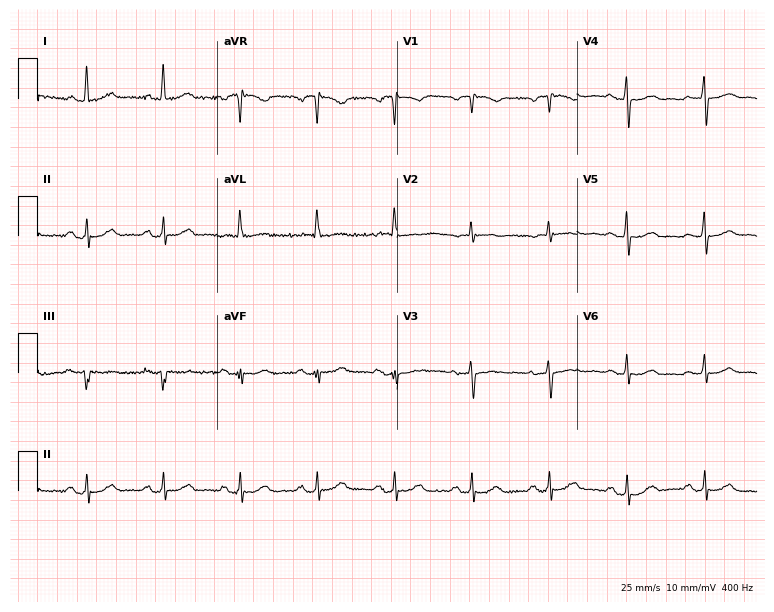
ECG — a female patient, 70 years old. Screened for six findings — first-degree AV block, right bundle branch block (RBBB), left bundle branch block (LBBB), sinus bradycardia, atrial fibrillation (AF), sinus tachycardia — none is recorded.